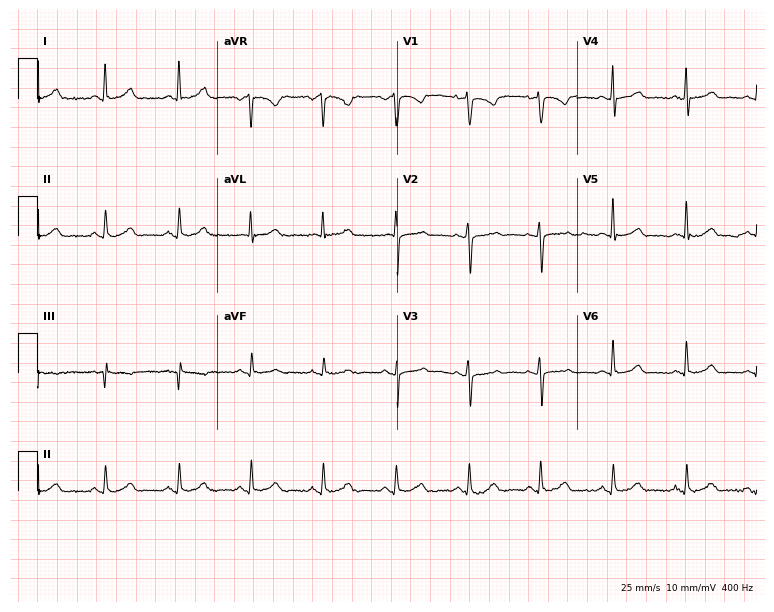
Standard 12-lead ECG recorded from a female patient, 45 years old (7.3-second recording at 400 Hz). Read as a normal ECG.